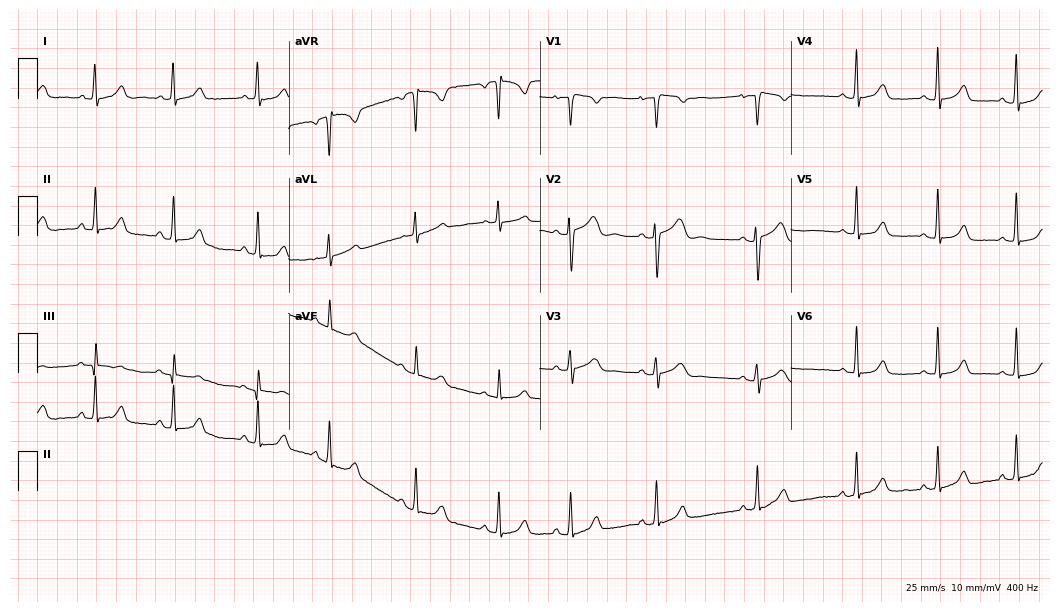
Resting 12-lead electrocardiogram. Patient: a 26-year-old female. Read as a normal ECG.